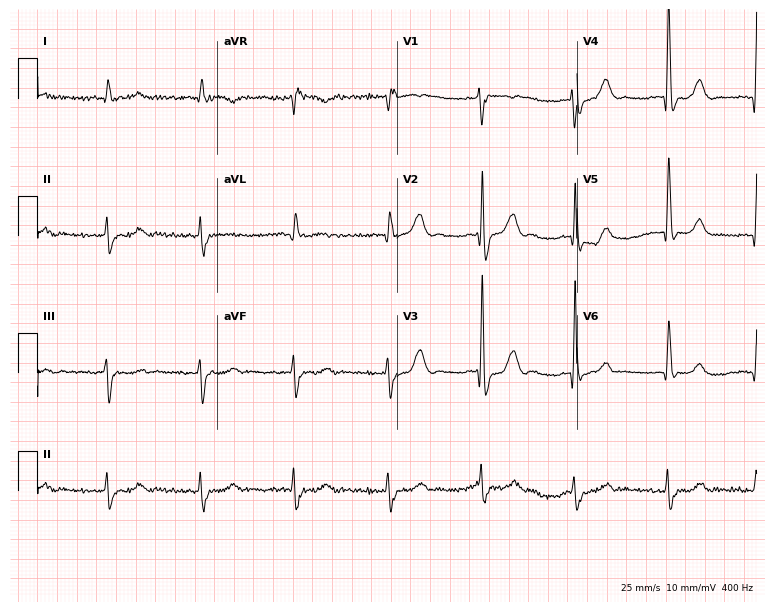
Standard 12-lead ECG recorded from a male, 84 years old. None of these six findings is recorded: first-degree AV block, right bundle branch block, left bundle branch block, sinus bradycardia, atrial fibrillation, sinus tachycardia.